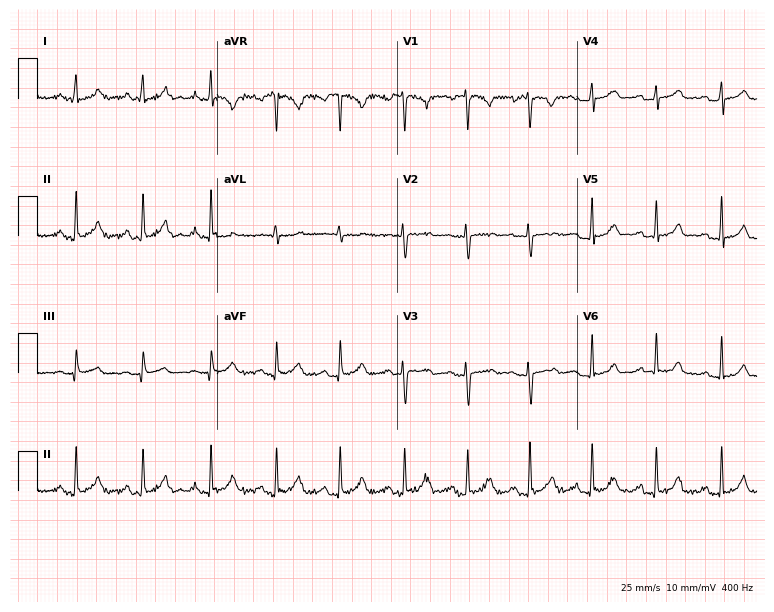
12-lead ECG from a 21-year-old female (7.3-second recording at 400 Hz). Recorded interpretation: within normal limits.